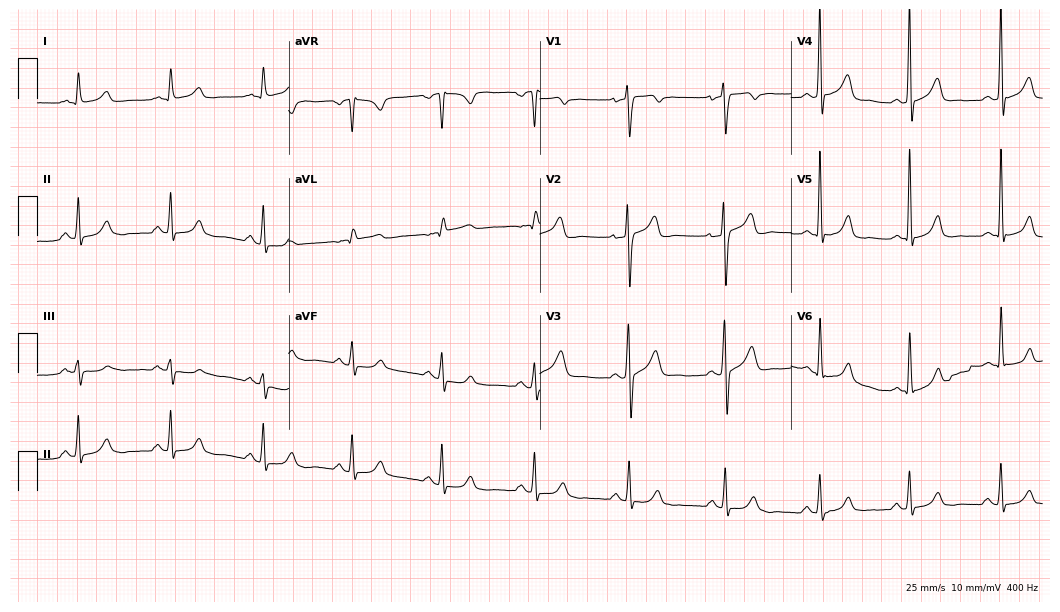
12-lead ECG from a male patient, 37 years old. Recorded interpretation: within normal limits.